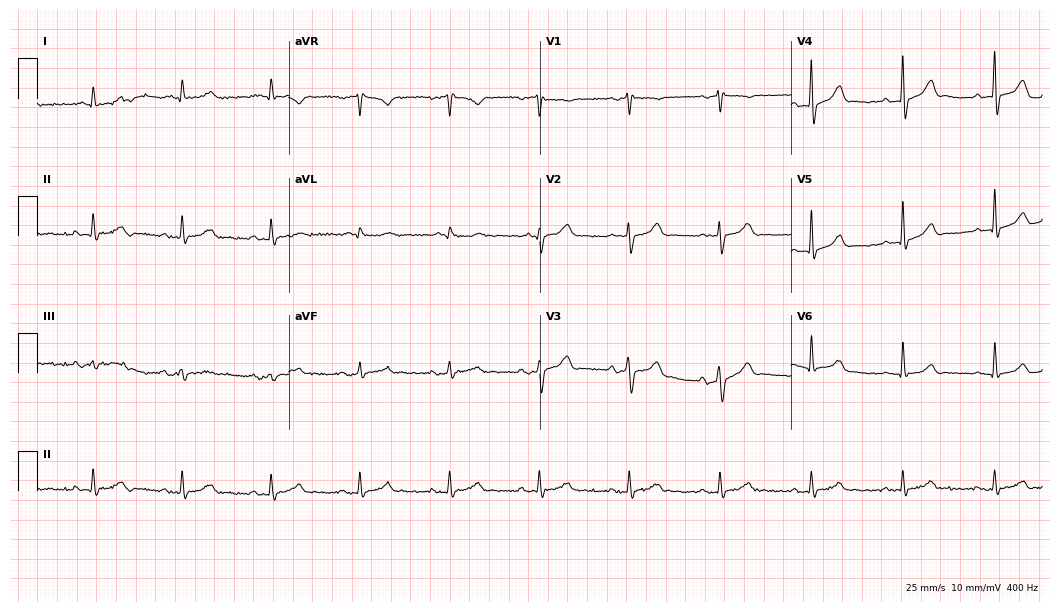
12-lead ECG from a male patient, 53 years old. Recorded interpretation: within normal limits.